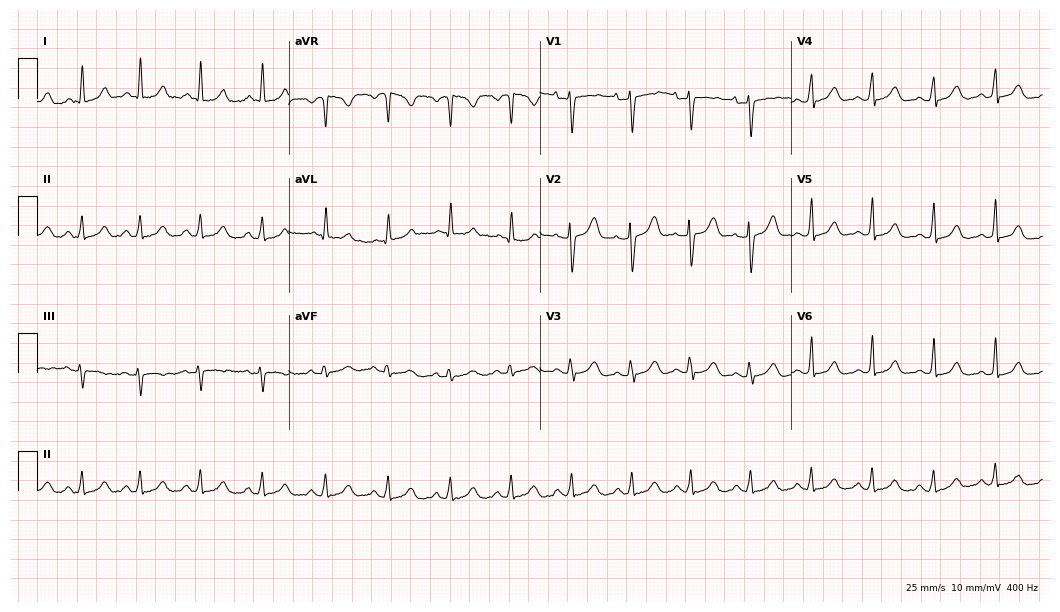
12-lead ECG from a 33-year-old woman. Recorded interpretation: within normal limits.